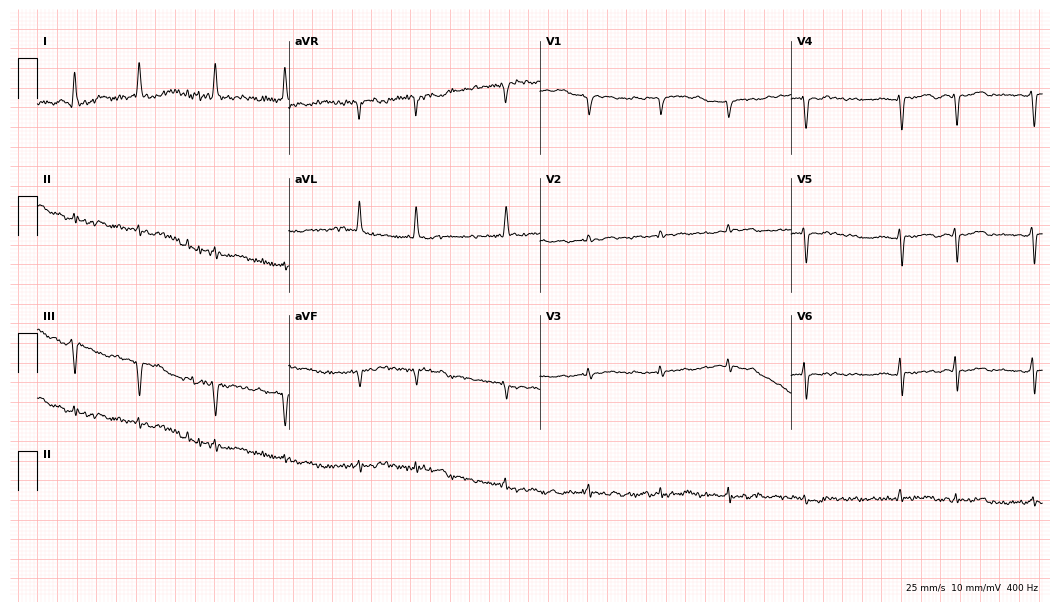
Standard 12-lead ECG recorded from a woman, 78 years old. The tracing shows atrial fibrillation.